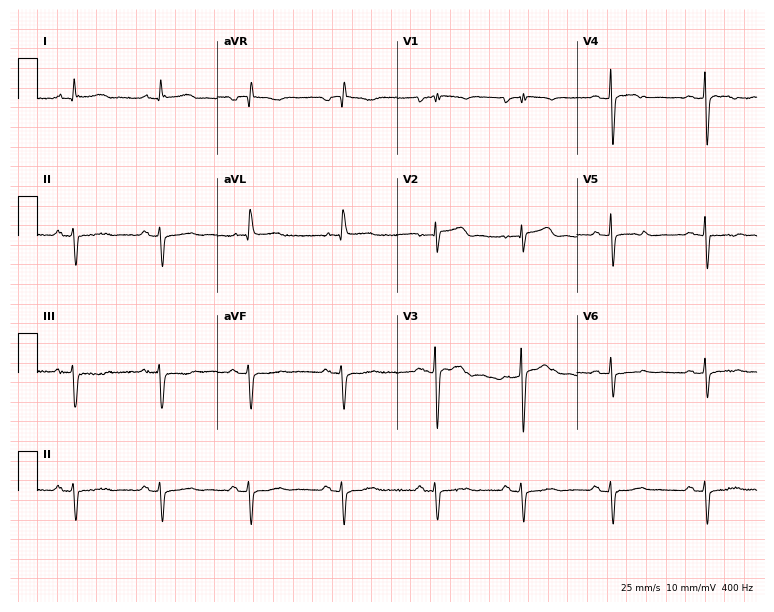
12-lead ECG from a 79-year-old female patient. No first-degree AV block, right bundle branch block (RBBB), left bundle branch block (LBBB), sinus bradycardia, atrial fibrillation (AF) or sinus tachycardia recorded for this tracing. Only these six findings were labelled.